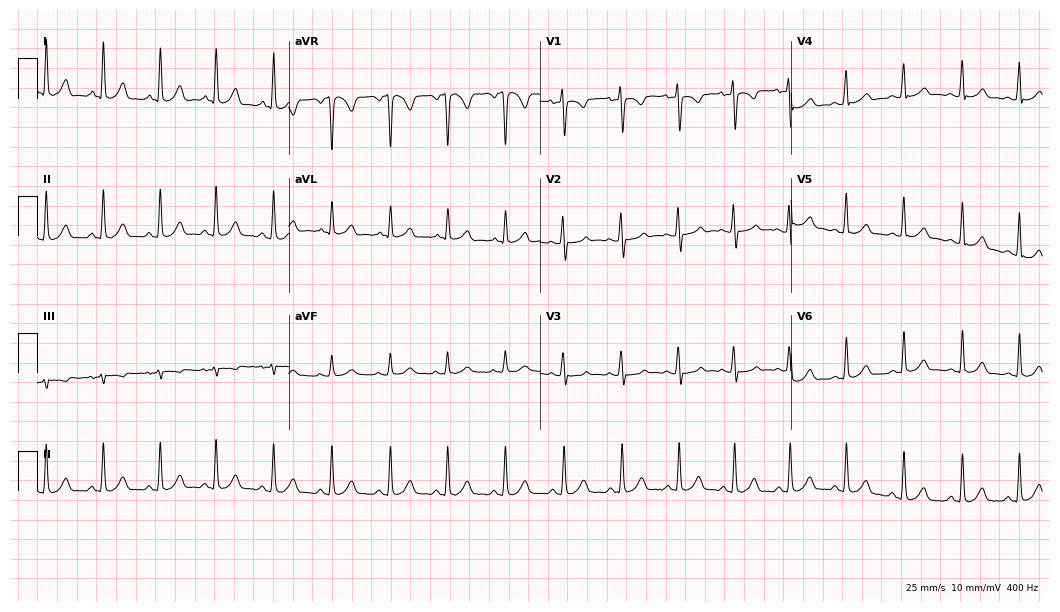
12-lead ECG from a woman, 23 years old. Screened for six findings — first-degree AV block, right bundle branch block, left bundle branch block, sinus bradycardia, atrial fibrillation, sinus tachycardia — none is recorded. Only these six findings were labelled.